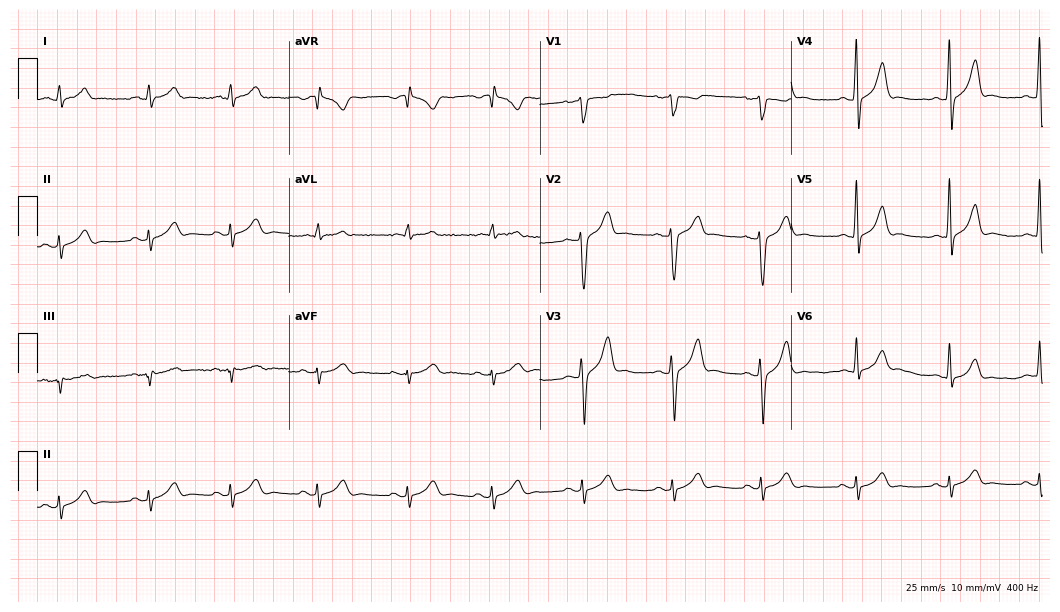
ECG (10.2-second recording at 400 Hz) — a male patient, 31 years old. Labelled as a normal ECG.